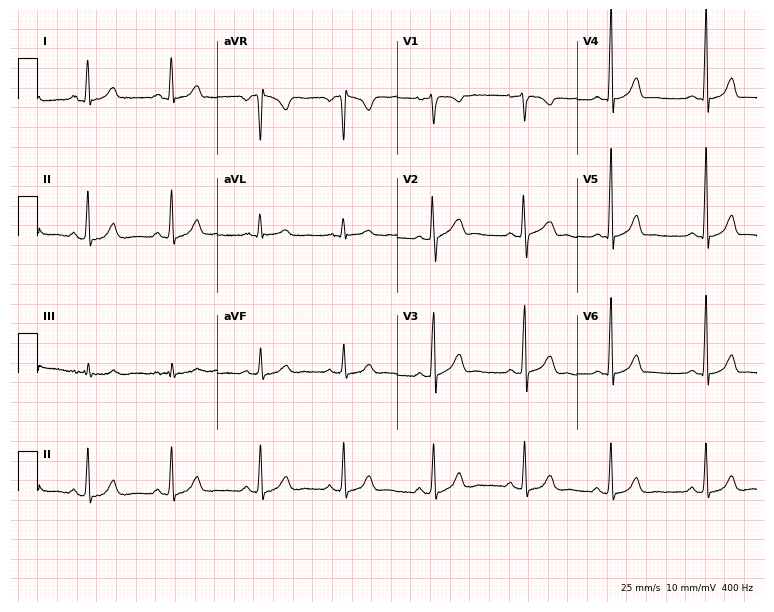
Resting 12-lead electrocardiogram (7.3-second recording at 400 Hz). Patient: a female, 24 years old. Read as a normal ECG.